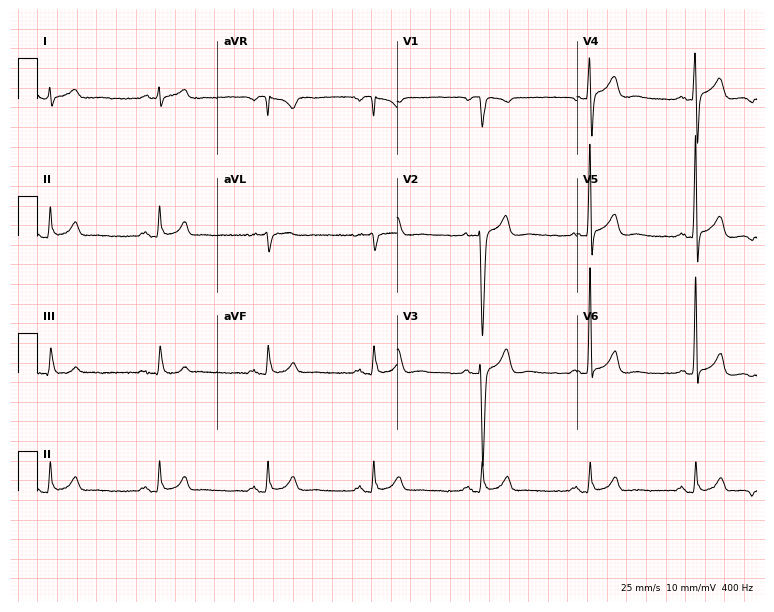
ECG (7.3-second recording at 400 Hz) — a male, 53 years old. Labelled as a normal ECG.